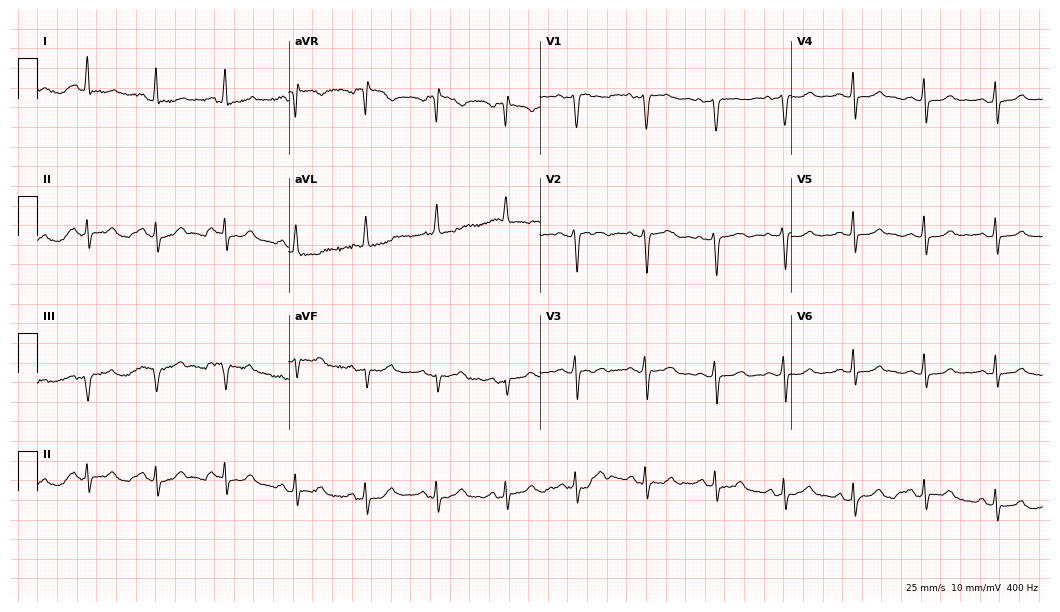
Standard 12-lead ECG recorded from a female, 60 years old. None of these six findings is recorded: first-degree AV block, right bundle branch block, left bundle branch block, sinus bradycardia, atrial fibrillation, sinus tachycardia.